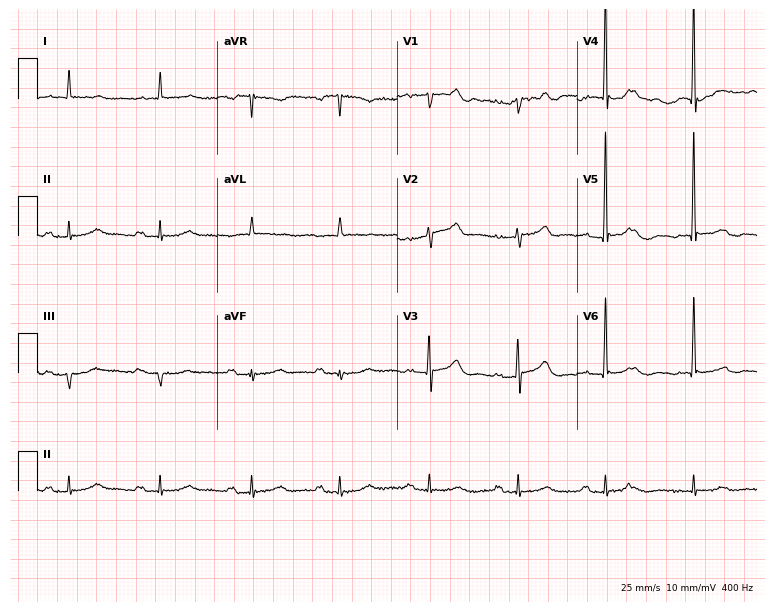
12-lead ECG from an 85-year-old male patient (7.3-second recording at 400 Hz). Recorded interpretation: within normal limits.